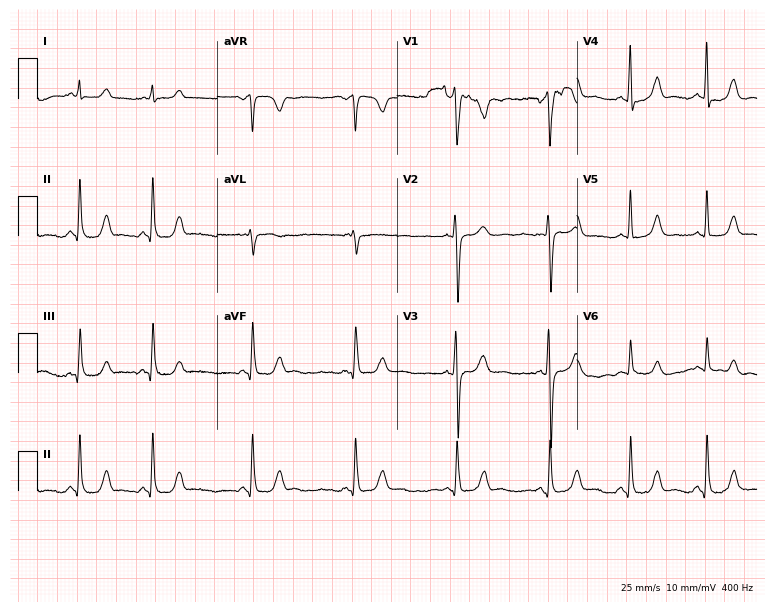
ECG (7.3-second recording at 400 Hz) — a 17-year-old woman. Screened for six findings — first-degree AV block, right bundle branch block, left bundle branch block, sinus bradycardia, atrial fibrillation, sinus tachycardia — none is recorded.